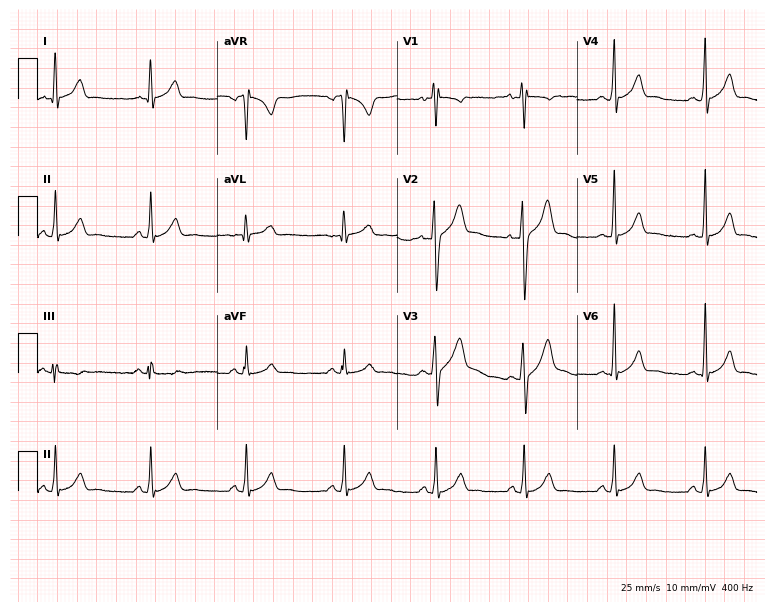
Standard 12-lead ECG recorded from a 26-year-old male. None of these six findings is recorded: first-degree AV block, right bundle branch block (RBBB), left bundle branch block (LBBB), sinus bradycardia, atrial fibrillation (AF), sinus tachycardia.